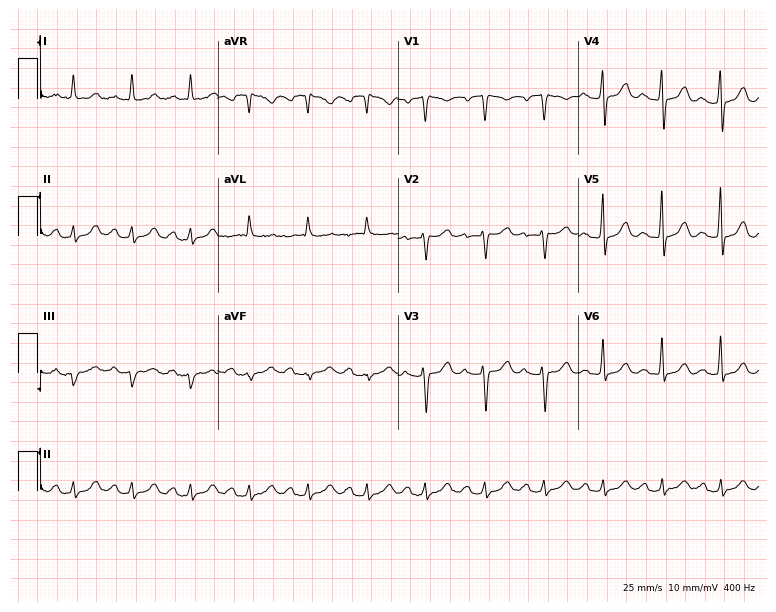
12-lead ECG from a woman, 75 years old. Screened for six findings — first-degree AV block, right bundle branch block, left bundle branch block, sinus bradycardia, atrial fibrillation, sinus tachycardia — none is recorded.